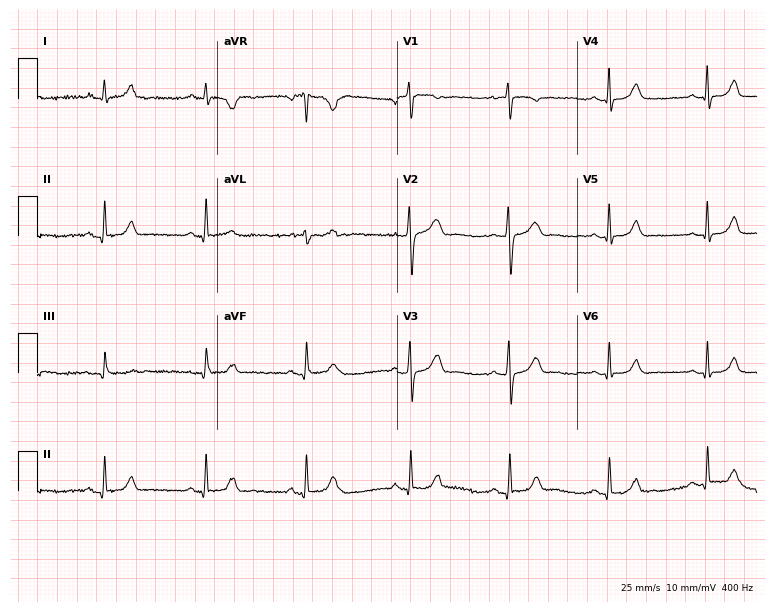
Resting 12-lead electrocardiogram. Patient: a 52-year-old female. None of these six findings is recorded: first-degree AV block, right bundle branch block, left bundle branch block, sinus bradycardia, atrial fibrillation, sinus tachycardia. Findings outside these six are not listed.